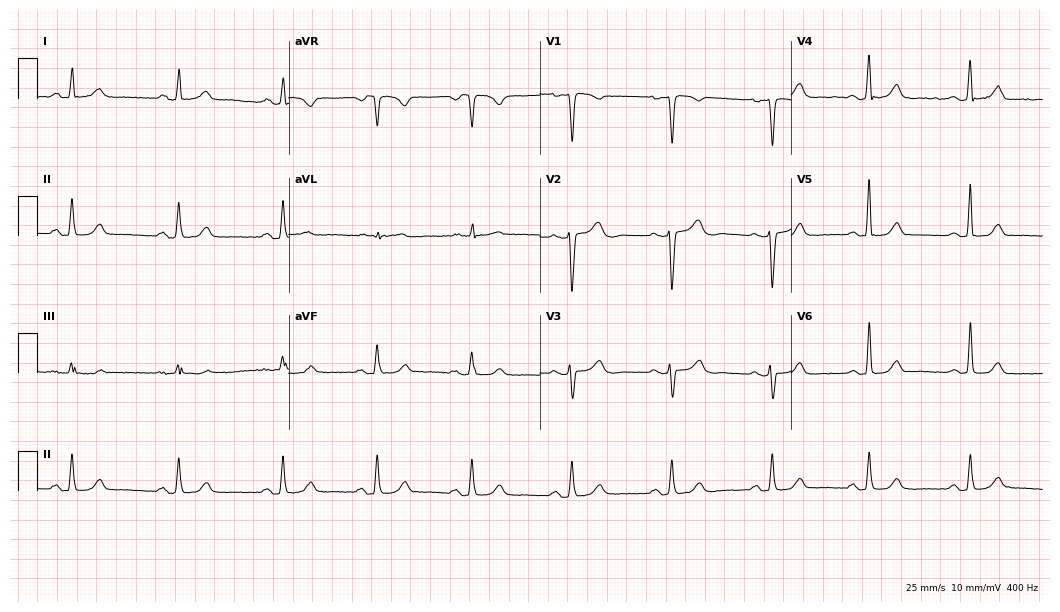
ECG — a 45-year-old female patient. Labelled as a normal ECG.